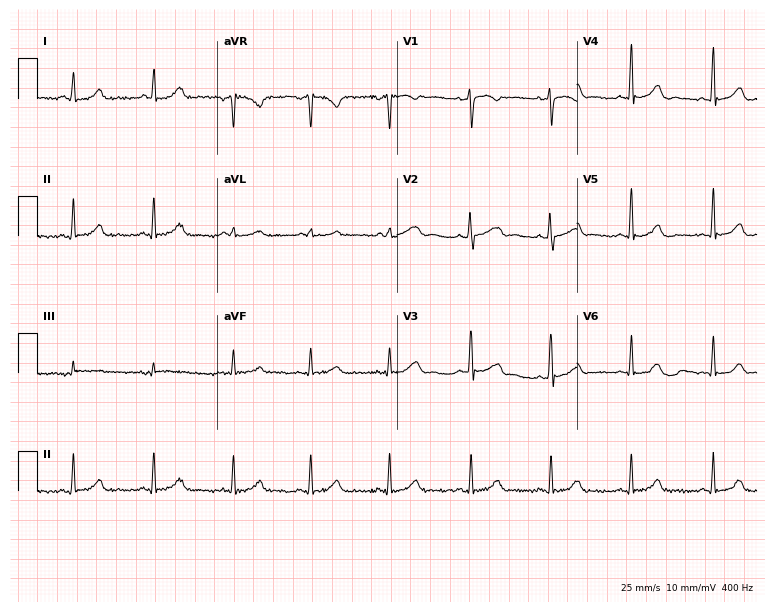
12-lead ECG from a woman, 42 years old. Recorded interpretation: within normal limits.